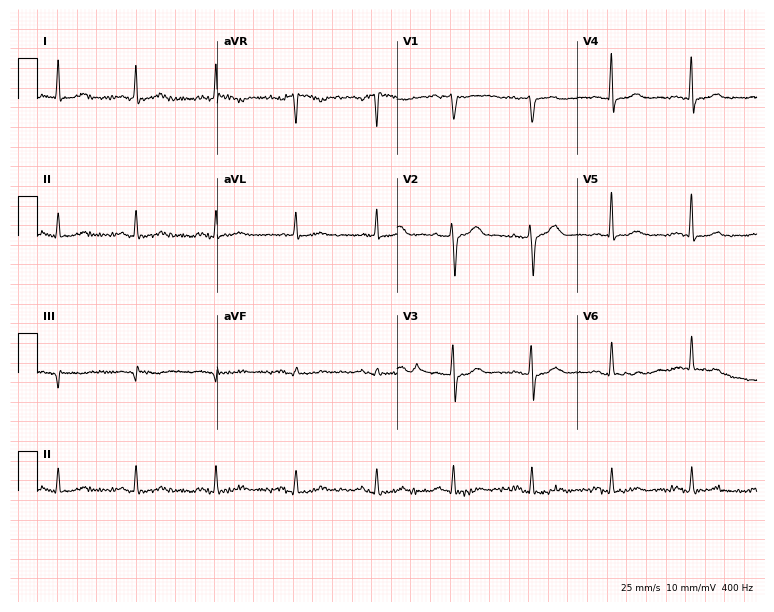
Resting 12-lead electrocardiogram. Patient: a 79-year-old man. None of these six findings is recorded: first-degree AV block, right bundle branch block, left bundle branch block, sinus bradycardia, atrial fibrillation, sinus tachycardia.